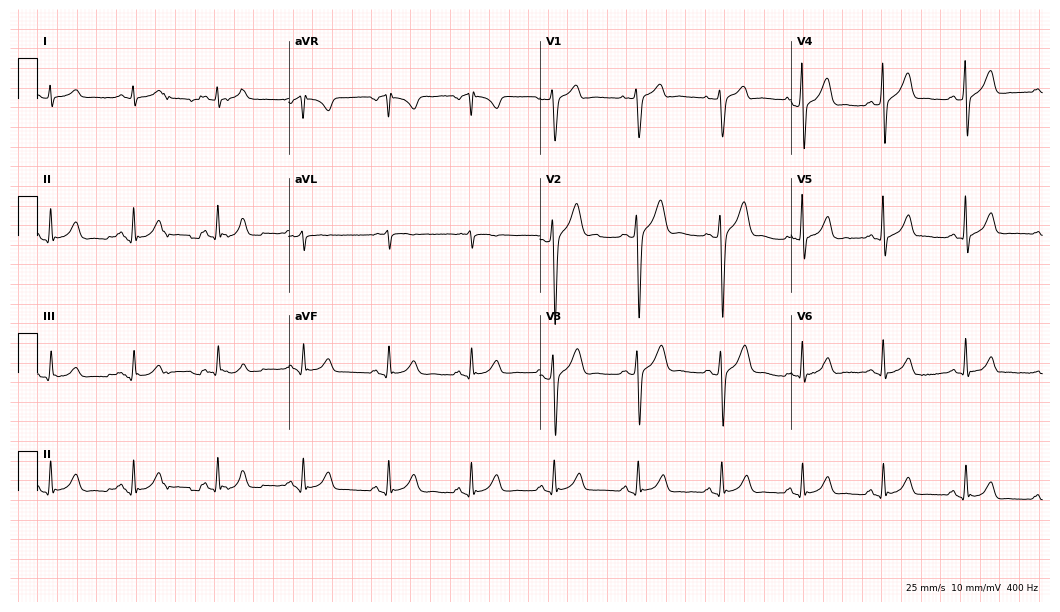
Standard 12-lead ECG recorded from a 42-year-old male (10.2-second recording at 400 Hz). Read as a normal ECG.